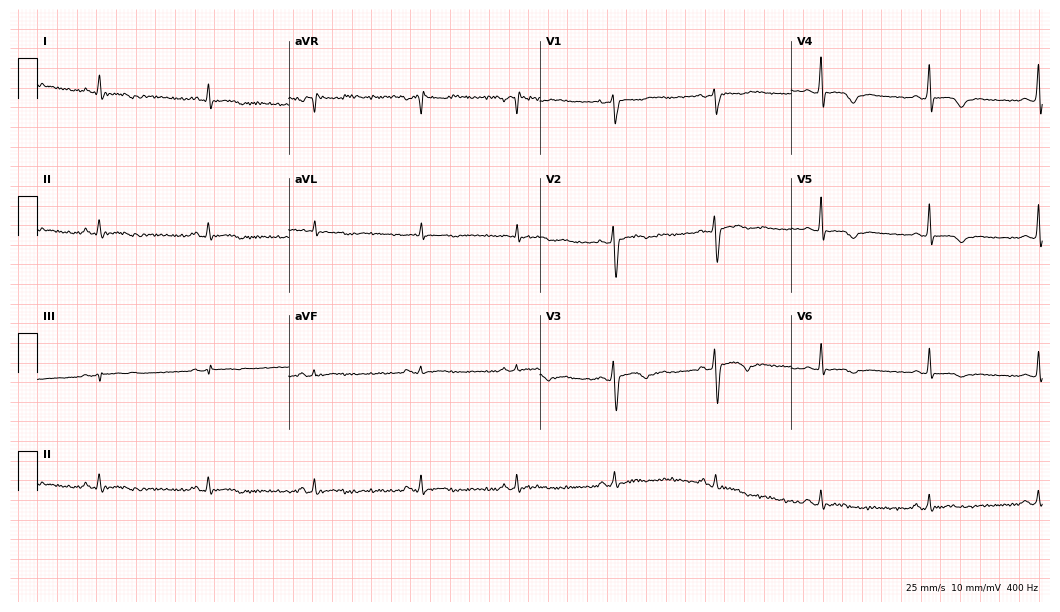
ECG — a male, 33 years old. Screened for six findings — first-degree AV block, right bundle branch block, left bundle branch block, sinus bradycardia, atrial fibrillation, sinus tachycardia — none is recorded. Only these six findings were labelled.